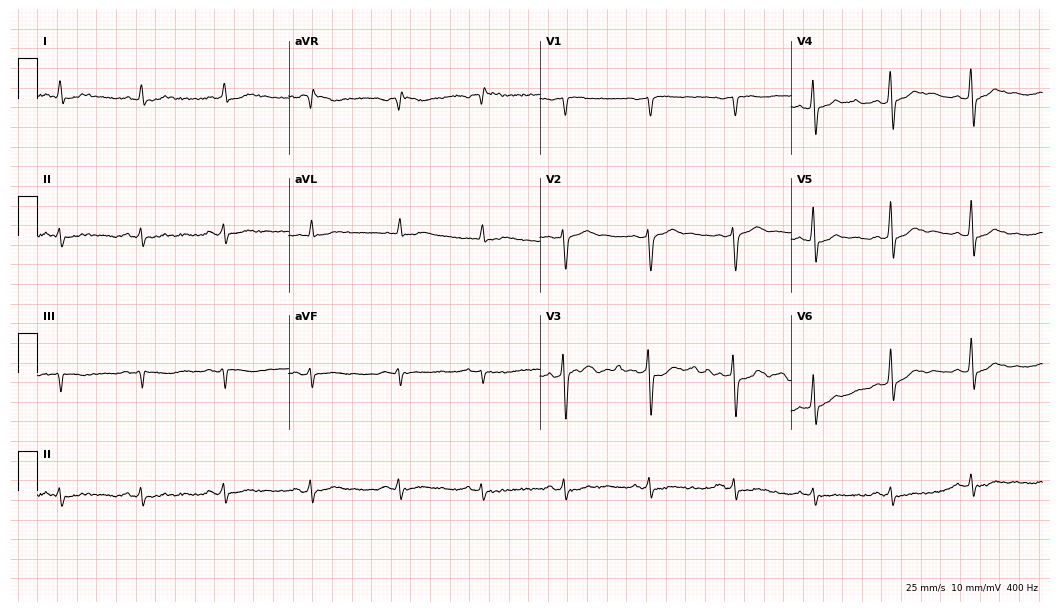
Standard 12-lead ECG recorded from a 55-year-old male. None of these six findings is recorded: first-degree AV block, right bundle branch block (RBBB), left bundle branch block (LBBB), sinus bradycardia, atrial fibrillation (AF), sinus tachycardia.